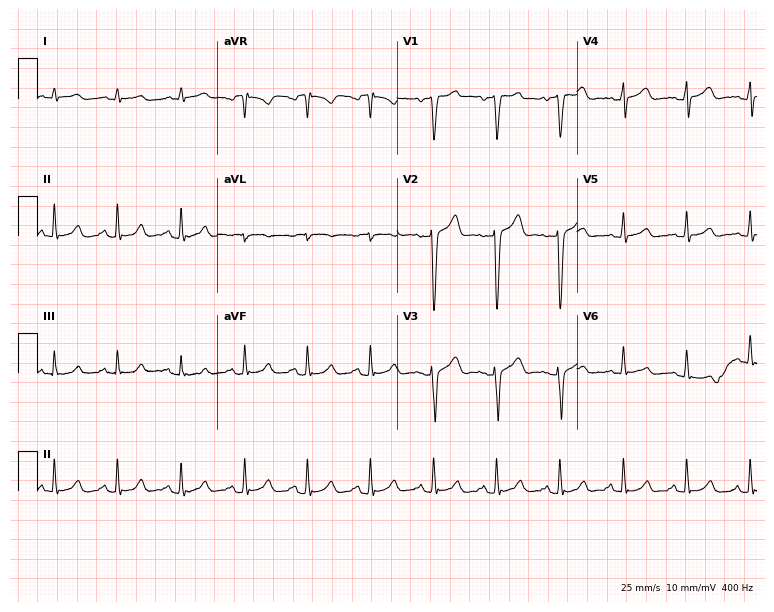
12-lead ECG from a 53-year-old male patient (7.3-second recording at 400 Hz). No first-degree AV block, right bundle branch block, left bundle branch block, sinus bradycardia, atrial fibrillation or sinus tachycardia recorded for this tracing.